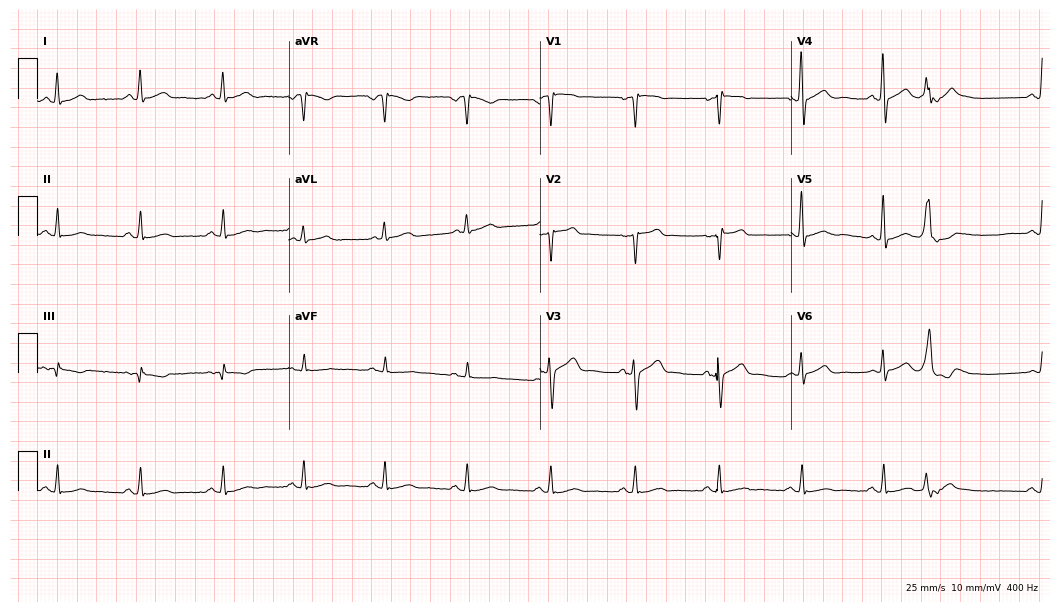
Standard 12-lead ECG recorded from a male patient, 56 years old (10.2-second recording at 400 Hz). Read as a normal ECG.